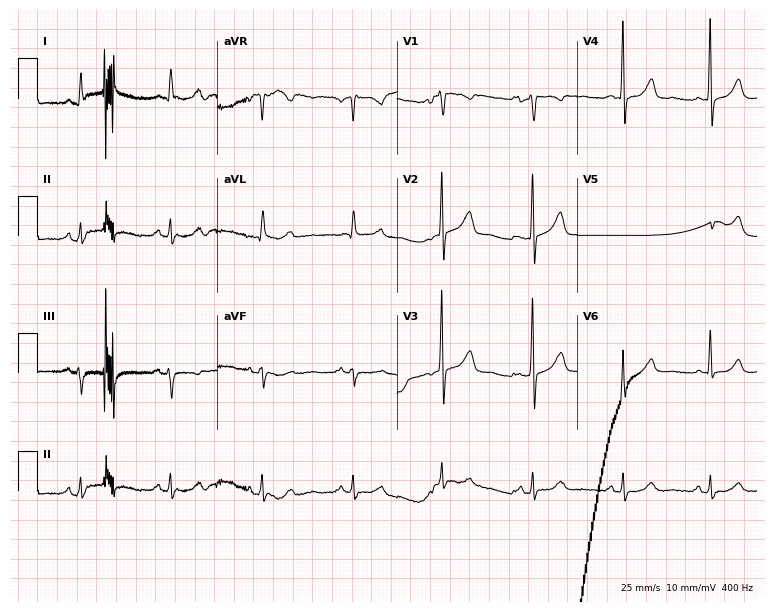
Standard 12-lead ECG recorded from a 43-year-old female (7.3-second recording at 400 Hz). None of these six findings is recorded: first-degree AV block, right bundle branch block (RBBB), left bundle branch block (LBBB), sinus bradycardia, atrial fibrillation (AF), sinus tachycardia.